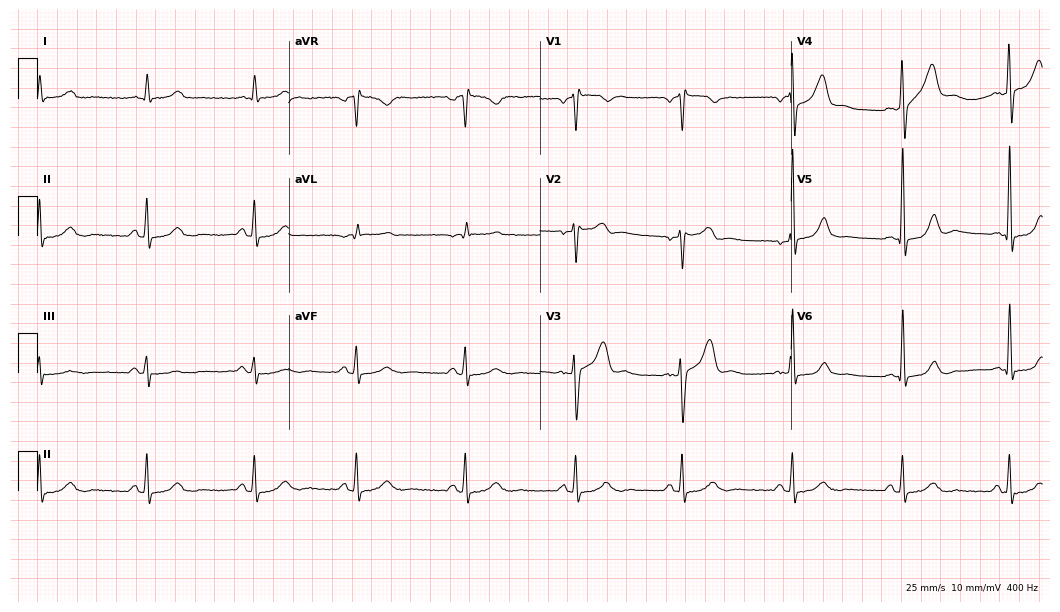
Electrocardiogram (10.2-second recording at 400 Hz), a 54-year-old male. Of the six screened findings (first-degree AV block, right bundle branch block, left bundle branch block, sinus bradycardia, atrial fibrillation, sinus tachycardia), none is recorded. Findings outside these six are not listed.